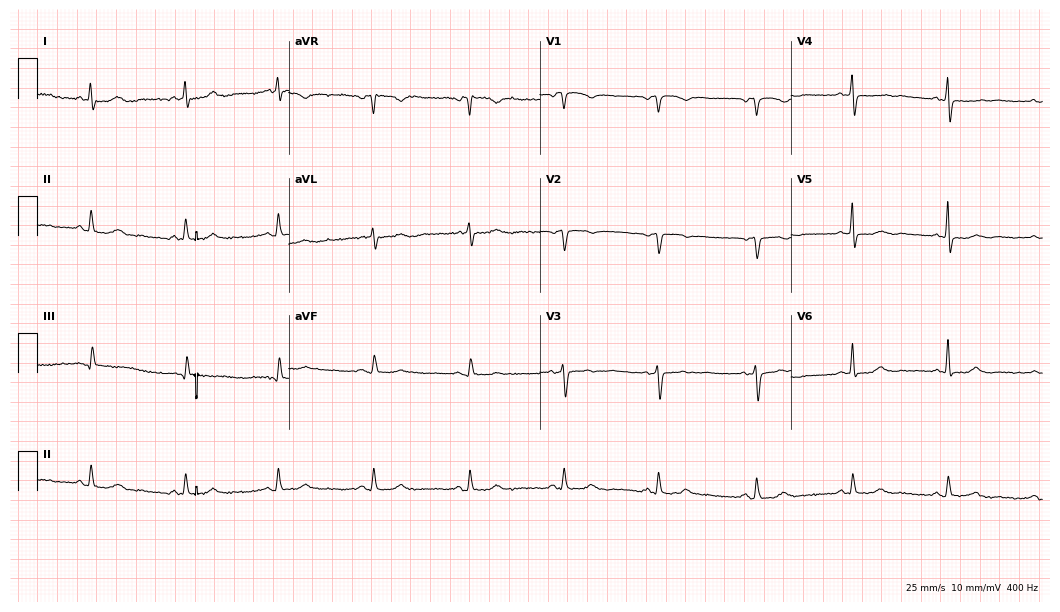
Standard 12-lead ECG recorded from a female patient, 65 years old (10.2-second recording at 400 Hz). None of these six findings is recorded: first-degree AV block, right bundle branch block, left bundle branch block, sinus bradycardia, atrial fibrillation, sinus tachycardia.